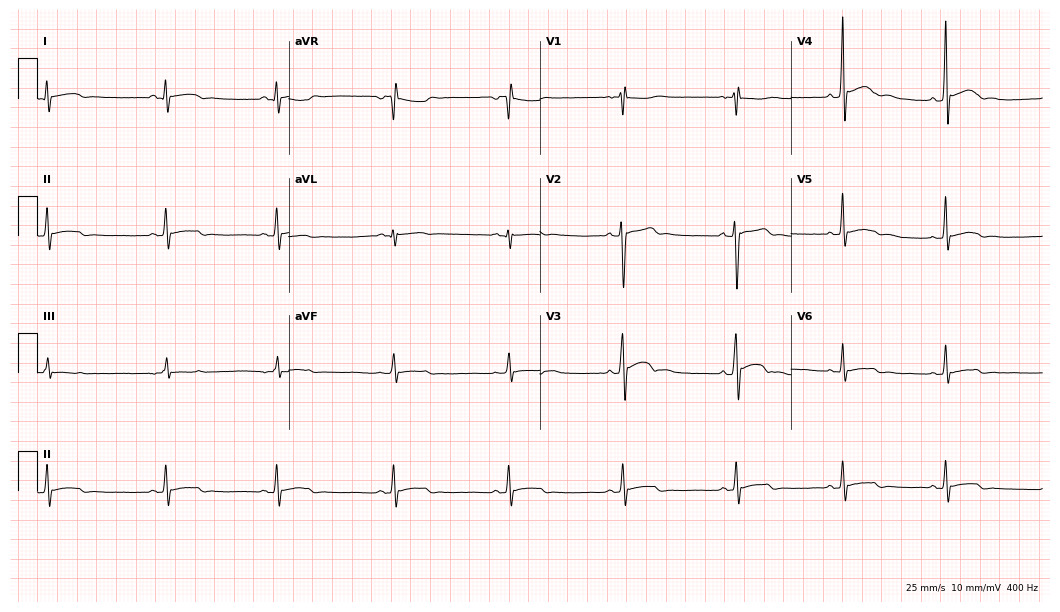
Electrocardiogram (10.2-second recording at 400 Hz), a male patient, 17 years old. Of the six screened findings (first-degree AV block, right bundle branch block (RBBB), left bundle branch block (LBBB), sinus bradycardia, atrial fibrillation (AF), sinus tachycardia), none is recorded. Other findings, if any, are not listed.